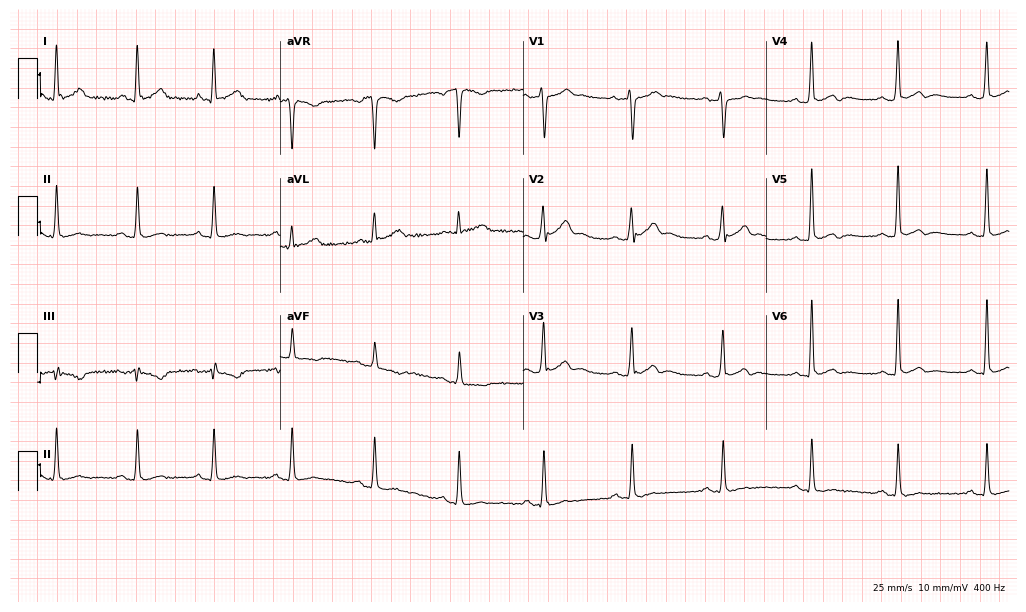
Resting 12-lead electrocardiogram. Patient: a man, 32 years old. None of these six findings is recorded: first-degree AV block, right bundle branch block (RBBB), left bundle branch block (LBBB), sinus bradycardia, atrial fibrillation (AF), sinus tachycardia. Only these six findings were labelled.